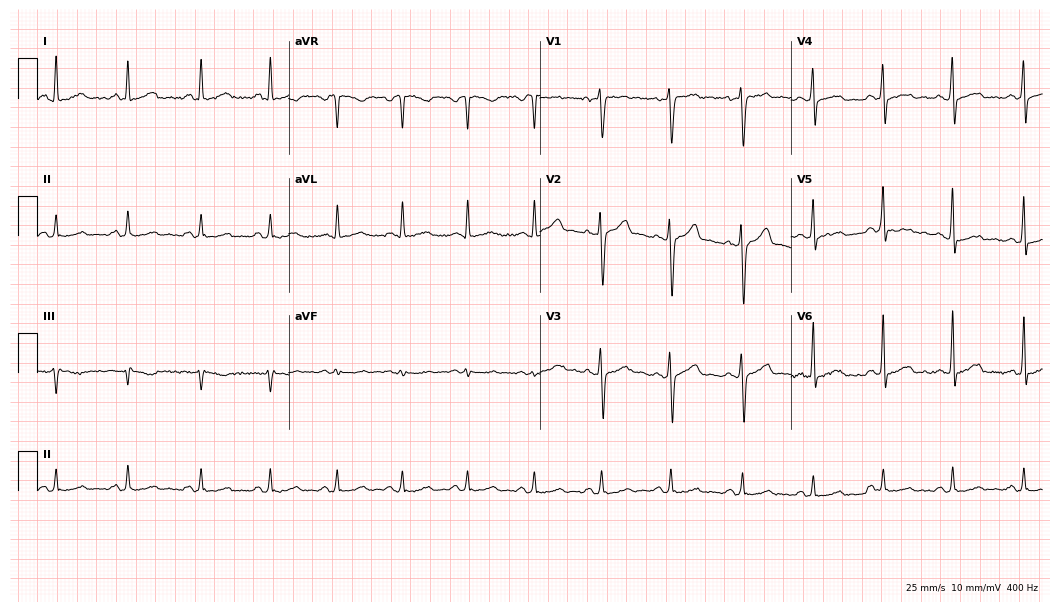
Electrocardiogram, a male, 38 years old. Of the six screened findings (first-degree AV block, right bundle branch block (RBBB), left bundle branch block (LBBB), sinus bradycardia, atrial fibrillation (AF), sinus tachycardia), none is recorded.